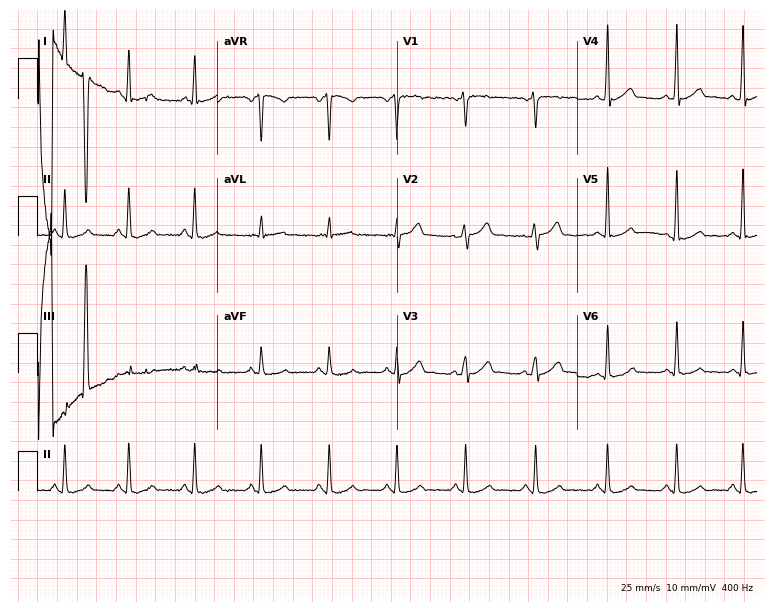
12-lead ECG from a 57-year-old man. No first-degree AV block, right bundle branch block, left bundle branch block, sinus bradycardia, atrial fibrillation or sinus tachycardia recorded for this tracing. Other findings, if any, are not listed.